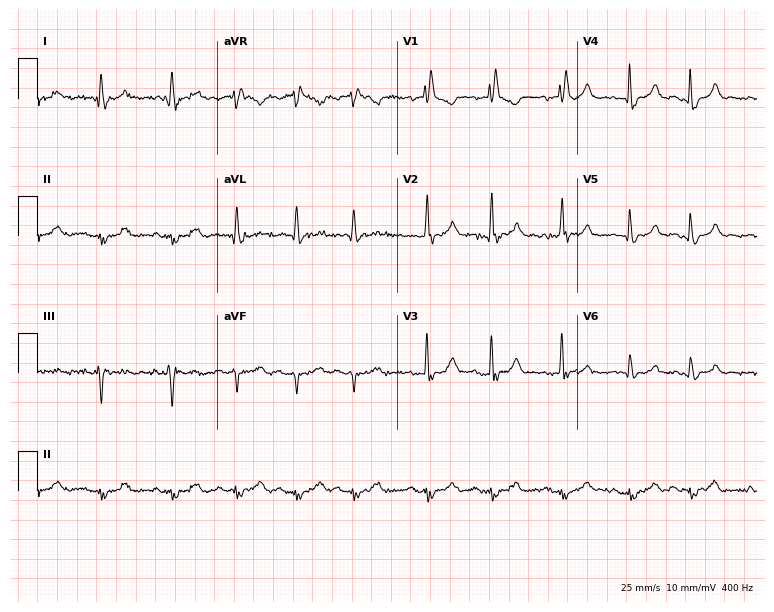
12-lead ECG (7.3-second recording at 400 Hz) from a 70-year-old male patient. Findings include right bundle branch block.